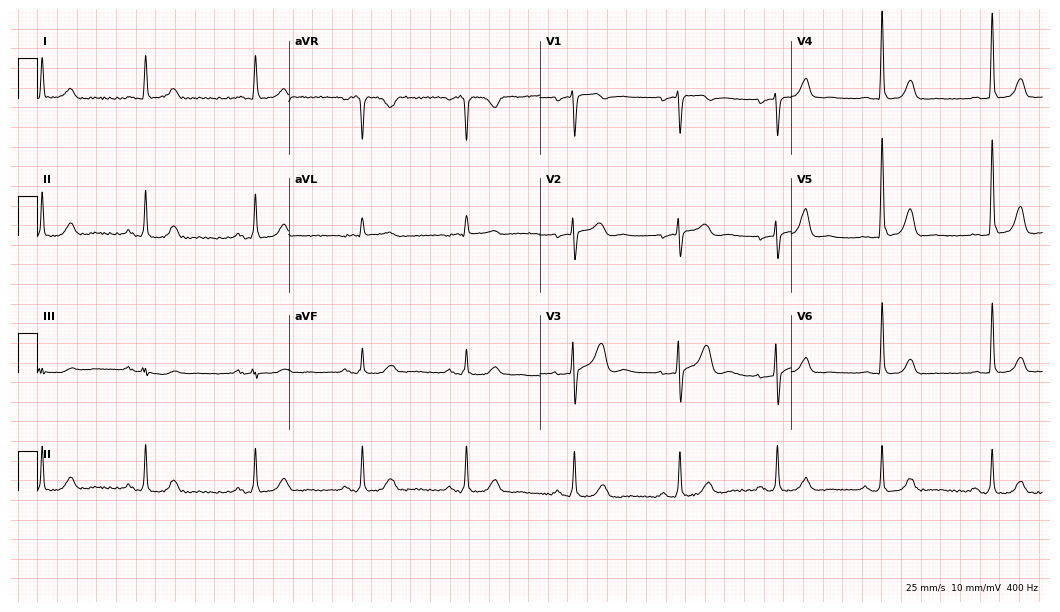
Electrocardiogram (10.2-second recording at 400 Hz), a 67-year-old female. Of the six screened findings (first-degree AV block, right bundle branch block, left bundle branch block, sinus bradycardia, atrial fibrillation, sinus tachycardia), none is recorded.